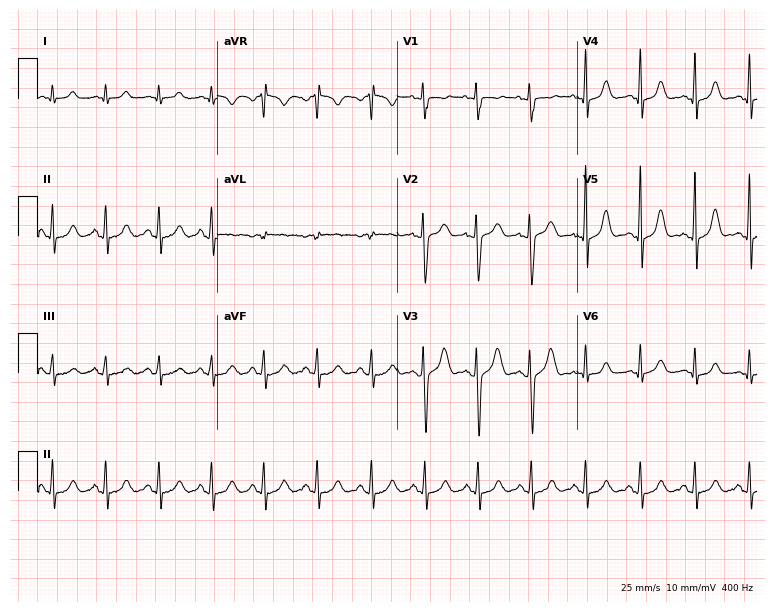
12-lead ECG from a 23-year-old female patient. No first-degree AV block, right bundle branch block, left bundle branch block, sinus bradycardia, atrial fibrillation or sinus tachycardia recorded for this tracing. Other findings, if any, are not listed.